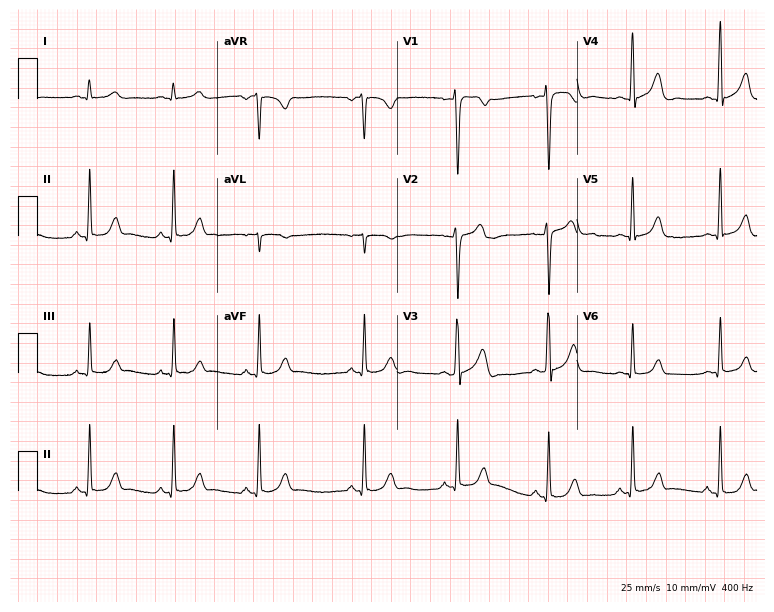
Resting 12-lead electrocardiogram. Patient: a 28-year-old male. None of these six findings is recorded: first-degree AV block, right bundle branch block, left bundle branch block, sinus bradycardia, atrial fibrillation, sinus tachycardia. Only these six findings were labelled.